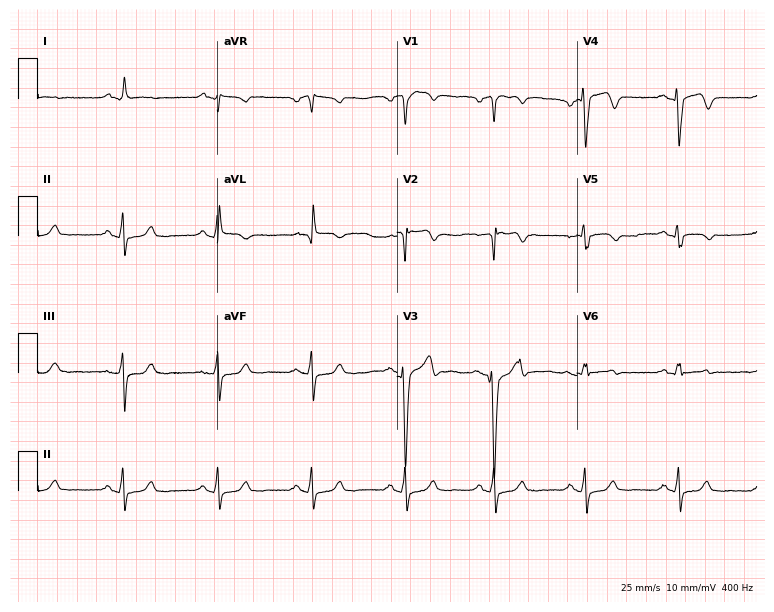
12-lead ECG (7.3-second recording at 400 Hz) from a 48-year-old male. Screened for six findings — first-degree AV block, right bundle branch block, left bundle branch block, sinus bradycardia, atrial fibrillation, sinus tachycardia — none is recorded.